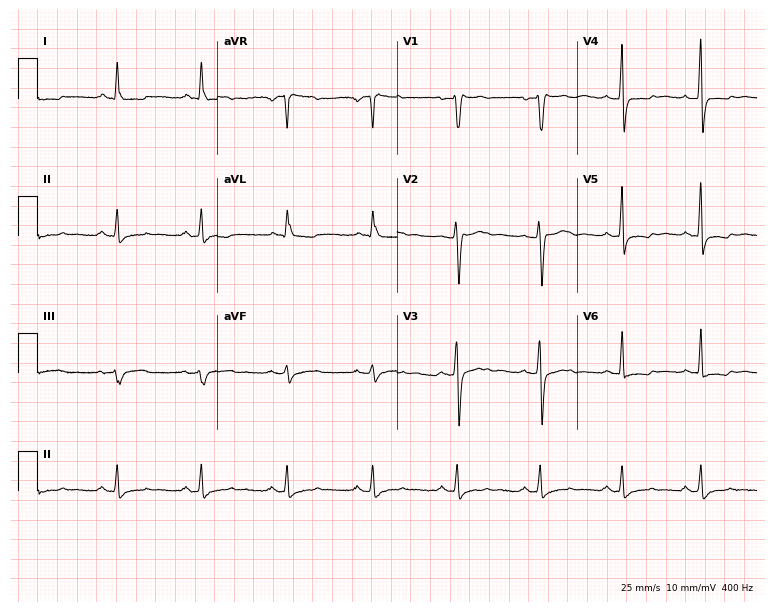
Resting 12-lead electrocardiogram (7.3-second recording at 400 Hz). Patient: a male, 47 years old. None of these six findings is recorded: first-degree AV block, right bundle branch block (RBBB), left bundle branch block (LBBB), sinus bradycardia, atrial fibrillation (AF), sinus tachycardia.